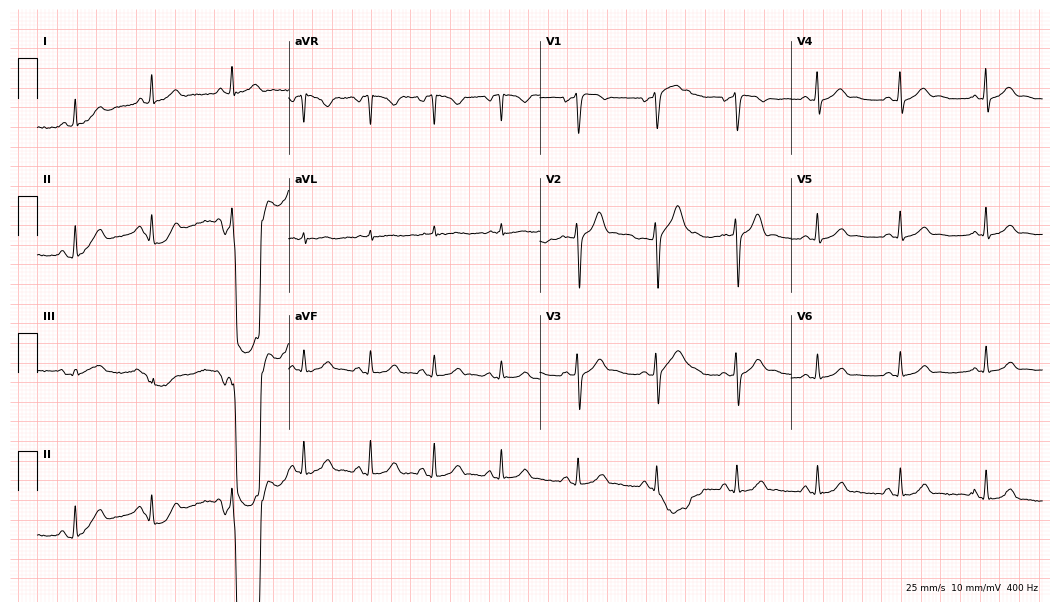
12-lead ECG from a 44-year-old male (10.2-second recording at 400 Hz). Recorded interpretation: within normal limits.